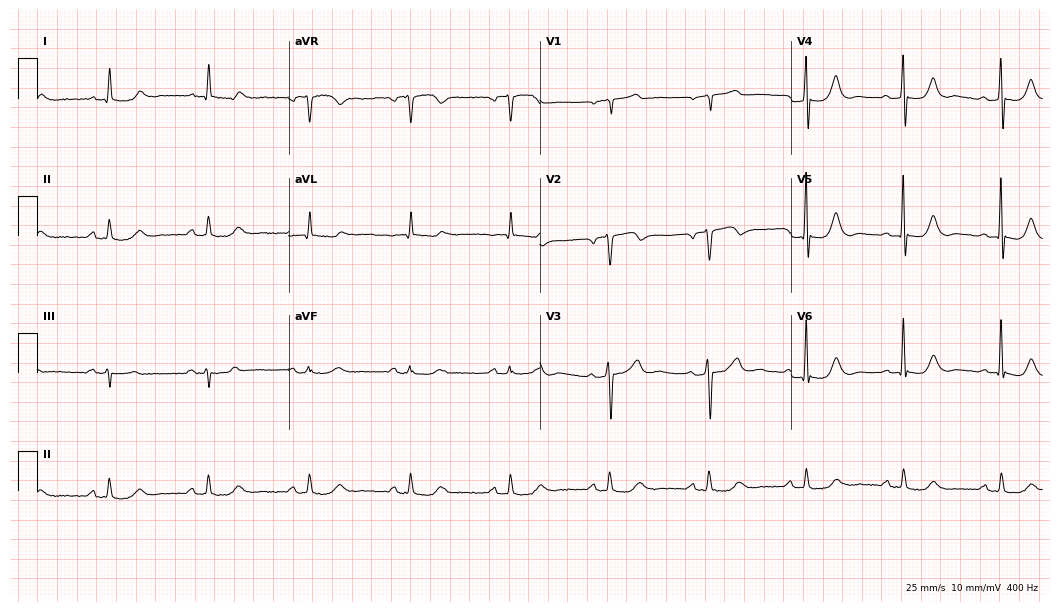
12-lead ECG (10.2-second recording at 400 Hz) from a male patient, 72 years old. Screened for six findings — first-degree AV block, right bundle branch block, left bundle branch block, sinus bradycardia, atrial fibrillation, sinus tachycardia — none is recorded. Only these six findings were labelled.